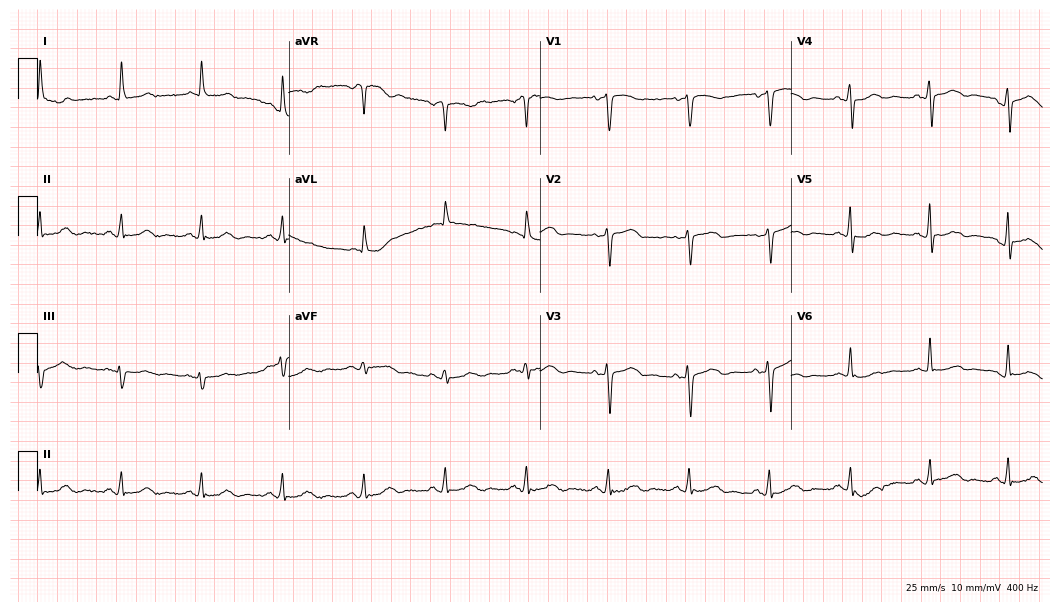
ECG (10.2-second recording at 400 Hz) — a woman, 63 years old. Labelled as a normal ECG.